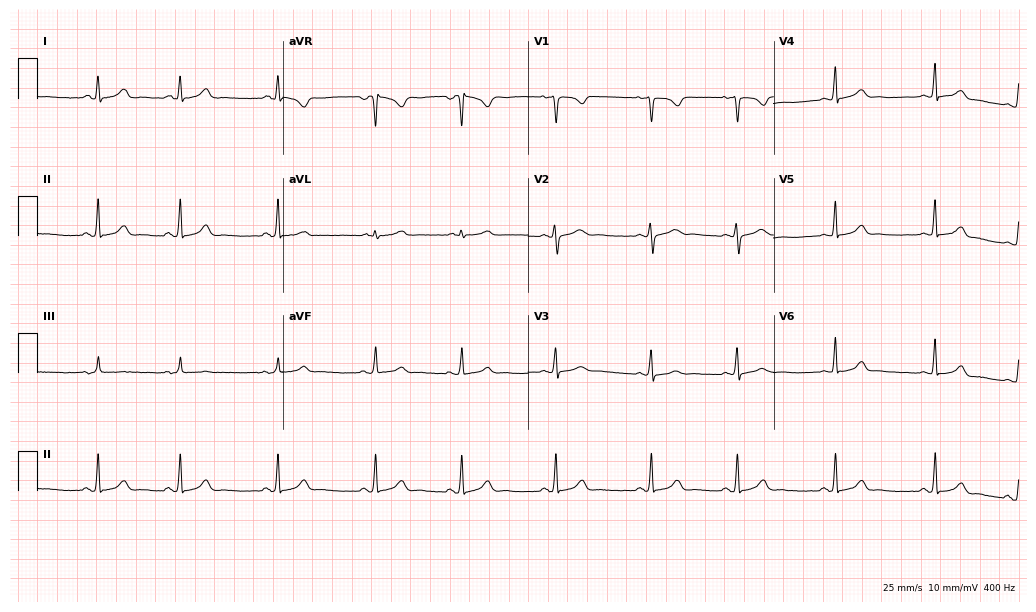
12-lead ECG (10-second recording at 400 Hz) from a woman, 18 years old. Screened for six findings — first-degree AV block, right bundle branch block, left bundle branch block, sinus bradycardia, atrial fibrillation, sinus tachycardia — none is recorded.